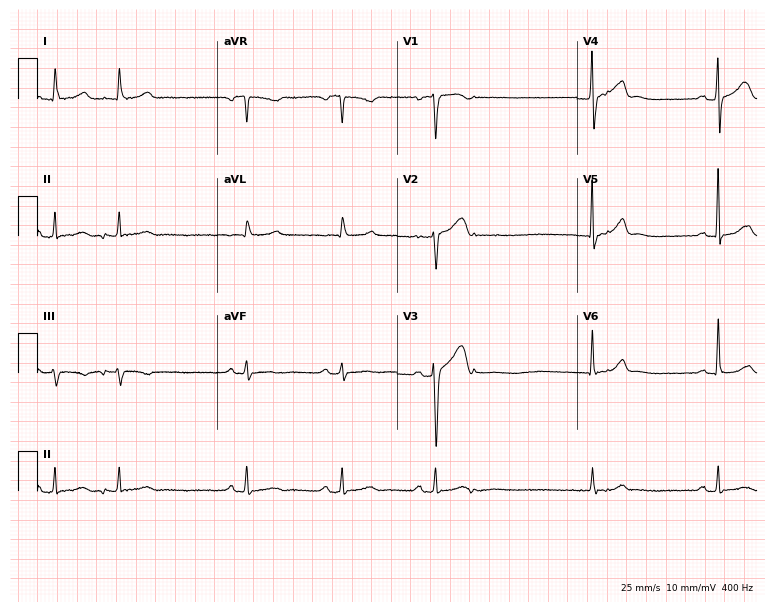
Resting 12-lead electrocardiogram (7.3-second recording at 400 Hz). Patient: a 79-year-old woman. None of these six findings is recorded: first-degree AV block, right bundle branch block, left bundle branch block, sinus bradycardia, atrial fibrillation, sinus tachycardia. Findings outside these six are not listed.